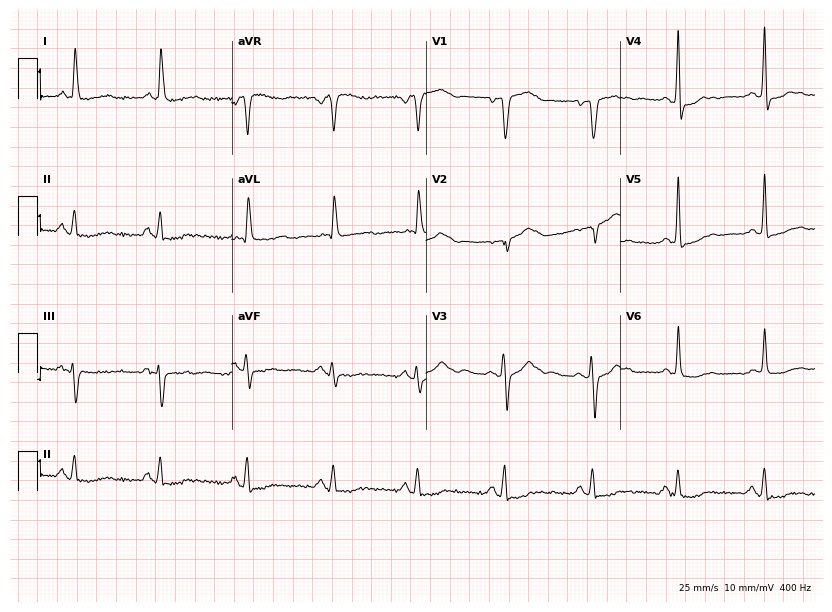
Electrocardiogram, a 79-year-old woman. Of the six screened findings (first-degree AV block, right bundle branch block, left bundle branch block, sinus bradycardia, atrial fibrillation, sinus tachycardia), none is recorded.